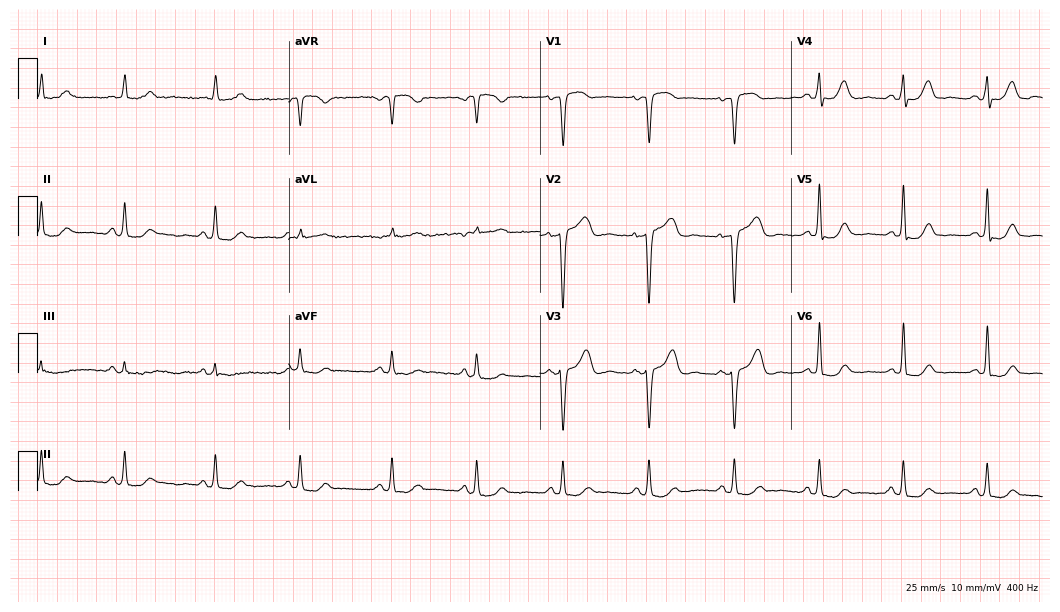
12-lead ECG (10.2-second recording at 400 Hz) from a female, 83 years old. Labelled as a normal ECG.